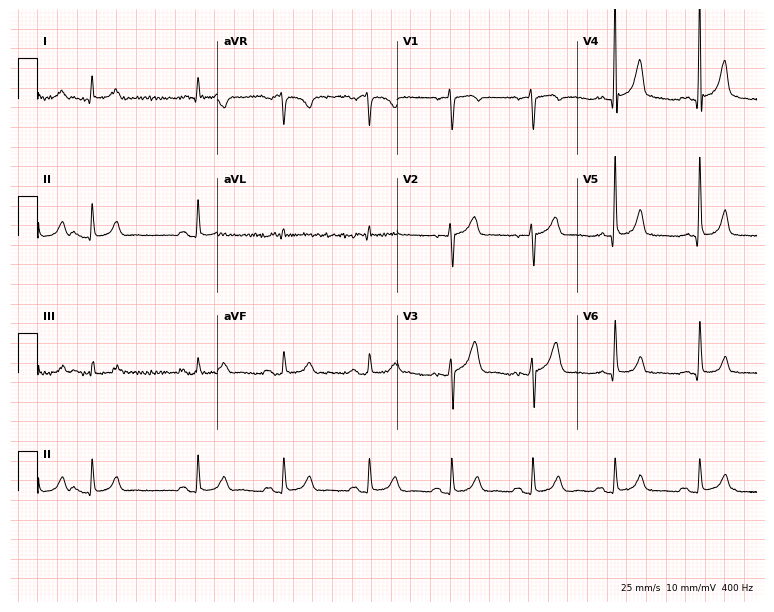
Electrocardiogram (7.3-second recording at 400 Hz), a man, 64 years old. Overall reading on record: normal ECG.